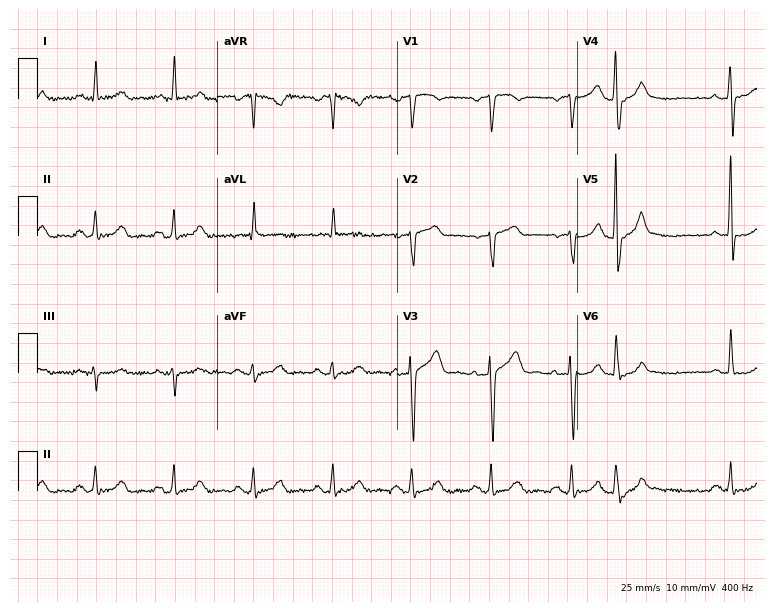
12-lead ECG from a 73-year-old male (7.3-second recording at 400 Hz). No first-degree AV block, right bundle branch block, left bundle branch block, sinus bradycardia, atrial fibrillation or sinus tachycardia recorded for this tracing.